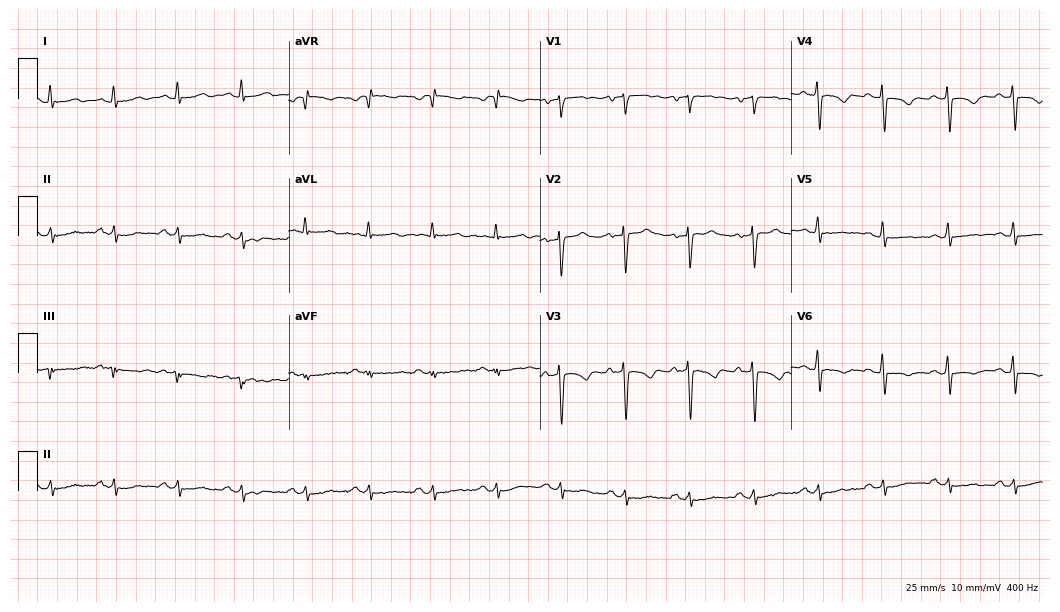
ECG — a female, 63 years old. Screened for six findings — first-degree AV block, right bundle branch block, left bundle branch block, sinus bradycardia, atrial fibrillation, sinus tachycardia — none is recorded.